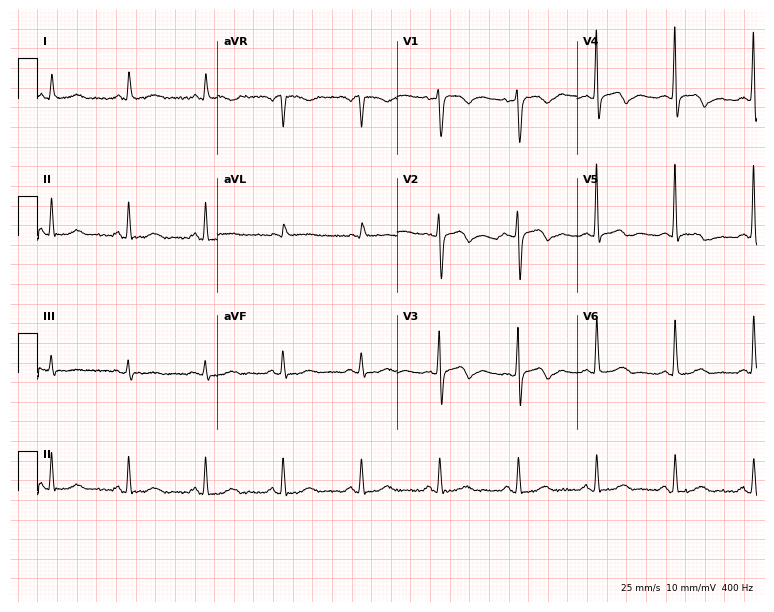
12-lead ECG from a 70-year-old female patient (7.3-second recording at 400 Hz). Recorded interpretation: within normal limits.